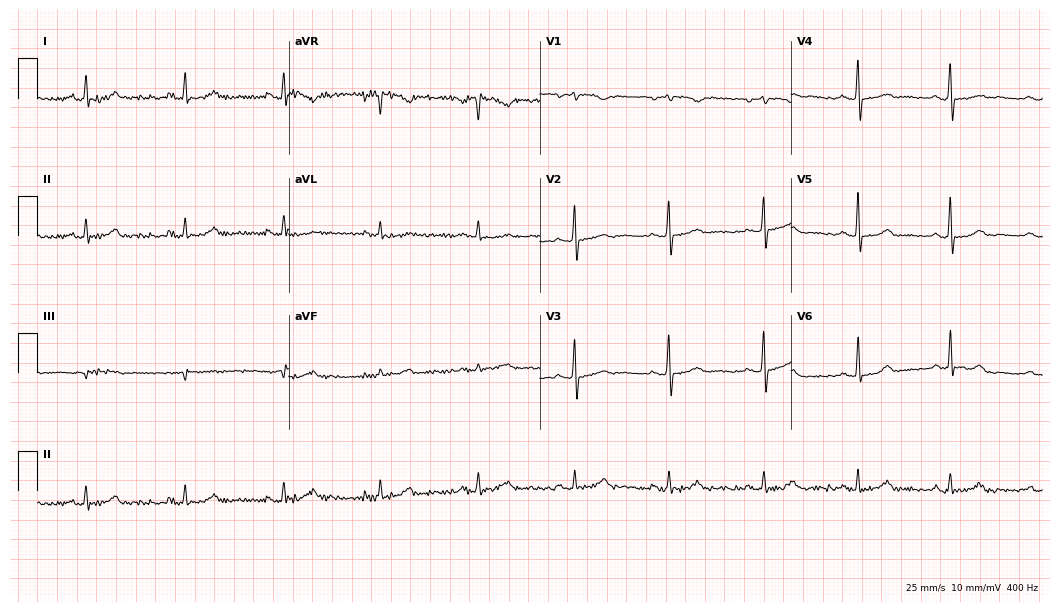
12-lead ECG from a female, 51 years old. Labelled as a normal ECG.